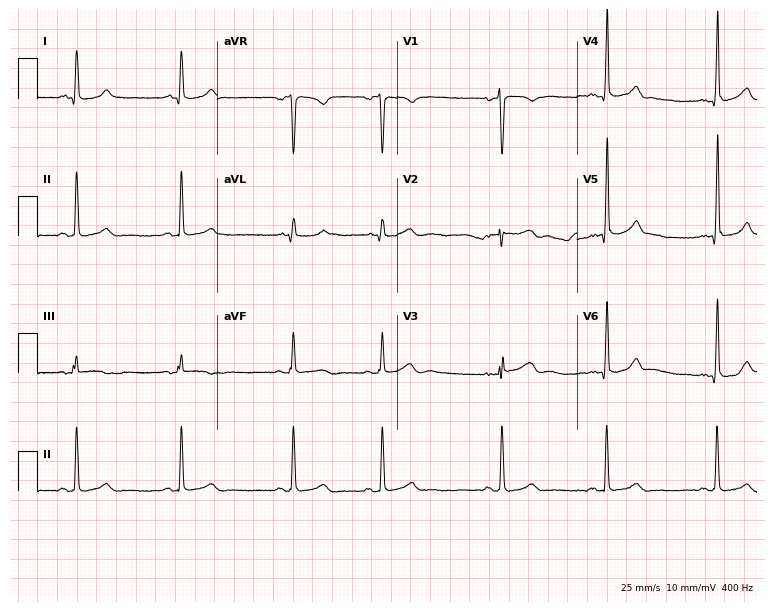
Standard 12-lead ECG recorded from a 17-year-old woman (7.3-second recording at 400 Hz). None of these six findings is recorded: first-degree AV block, right bundle branch block, left bundle branch block, sinus bradycardia, atrial fibrillation, sinus tachycardia.